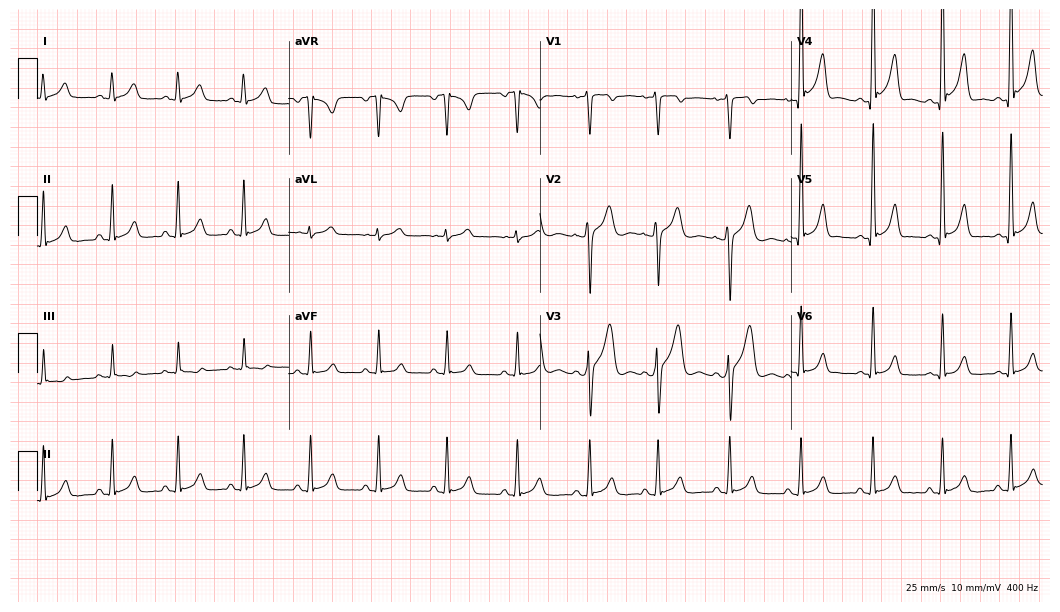
Standard 12-lead ECG recorded from a 31-year-old male (10.2-second recording at 400 Hz). Read as a normal ECG.